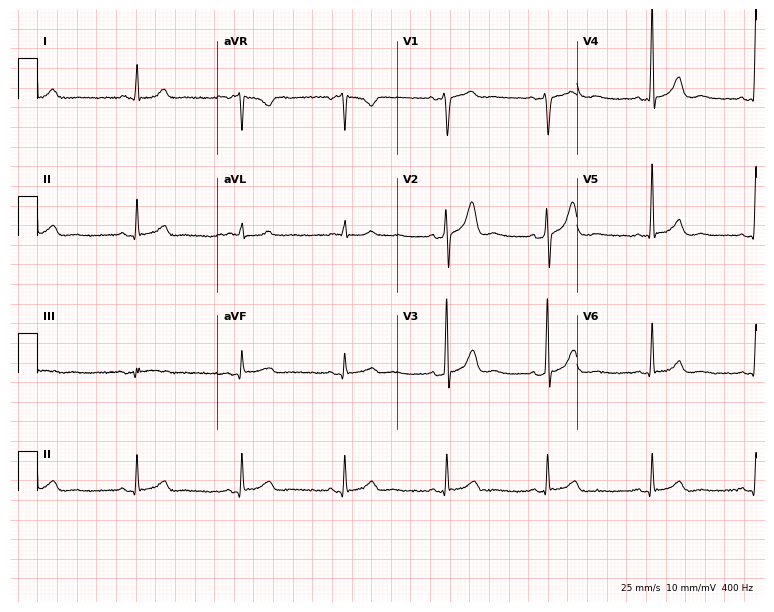
Standard 12-lead ECG recorded from a 40-year-old male. Read as a normal ECG.